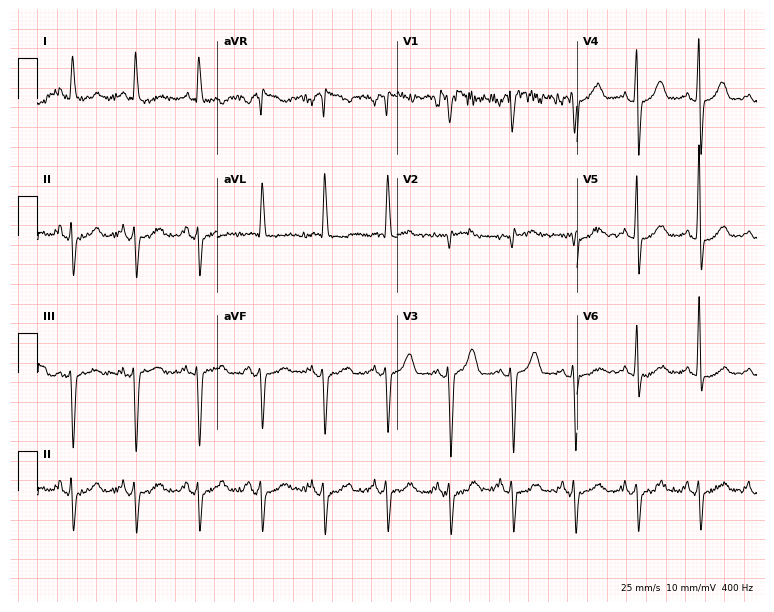
Resting 12-lead electrocardiogram (7.3-second recording at 400 Hz). Patient: a 75-year-old male. None of these six findings is recorded: first-degree AV block, right bundle branch block, left bundle branch block, sinus bradycardia, atrial fibrillation, sinus tachycardia. Other findings, if any, are not listed.